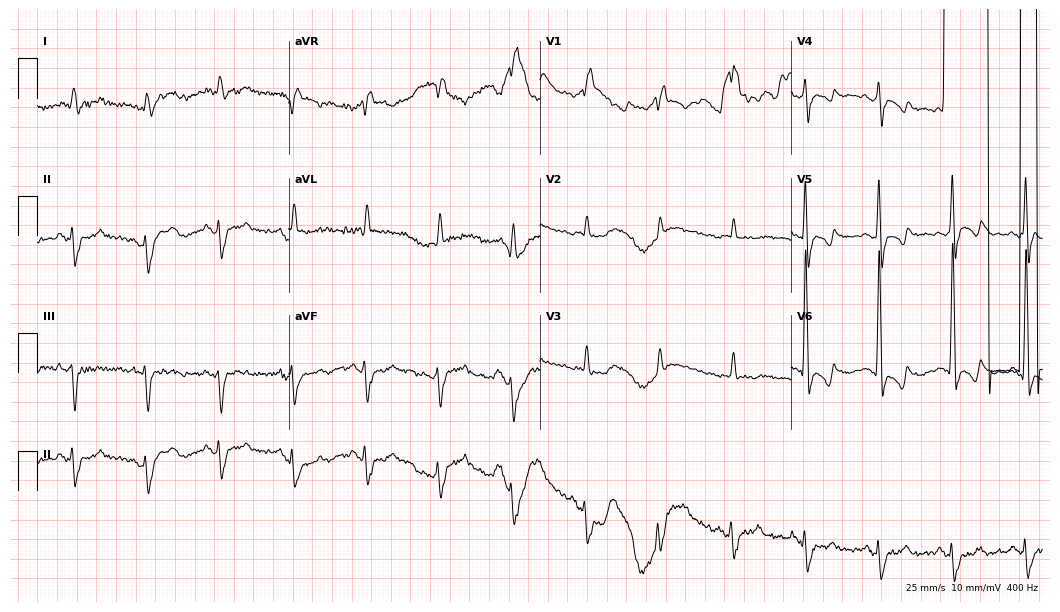
12-lead ECG from a 29-year-old female (10.2-second recording at 400 Hz). No first-degree AV block, right bundle branch block, left bundle branch block, sinus bradycardia, atrial fibrillation or sinus tachycardia recorded for this tracing.